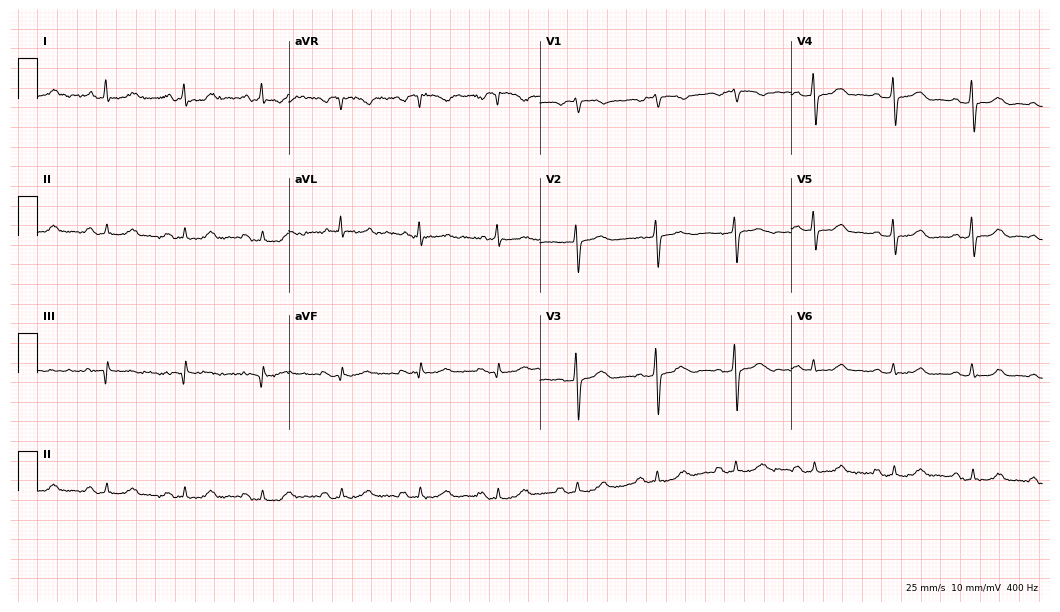
Standard 12-lead ECG recorded from a 62-year-old woman (10.2-second recording at 400 Hz). Read as a normal ECG.